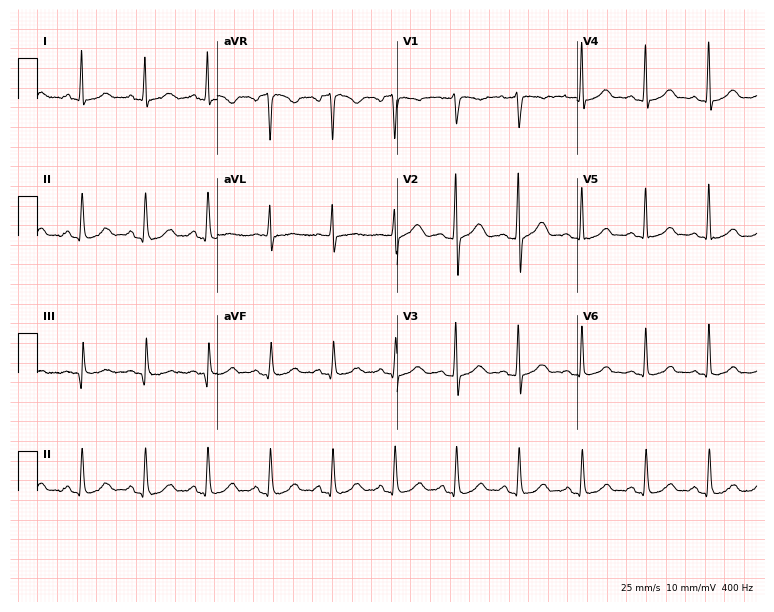
12-lead ECG from a 46-year-old woman (7.3-second recording at 400 Hz). Recorded interpretation: within normal limits.